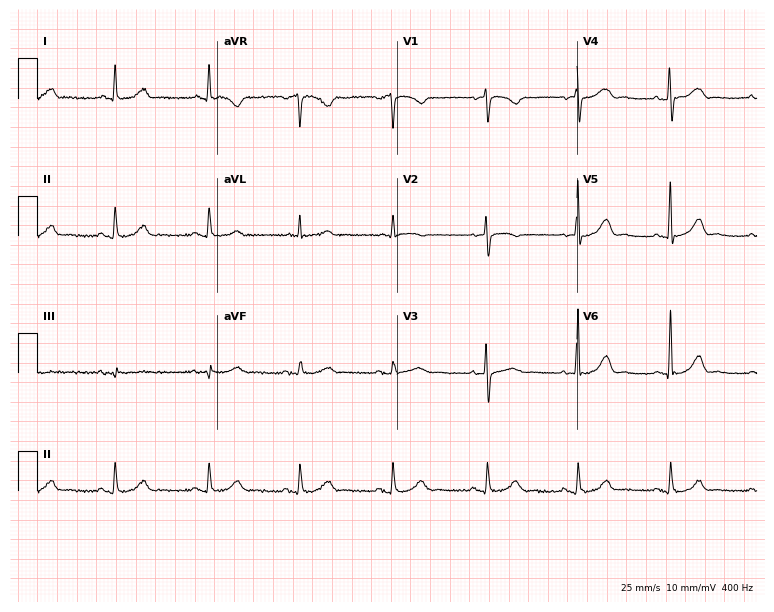
12-lead ECG (7.3-second recording at 400 Hz) from a 77-year-old female patient. Labelled as a normal ECG.